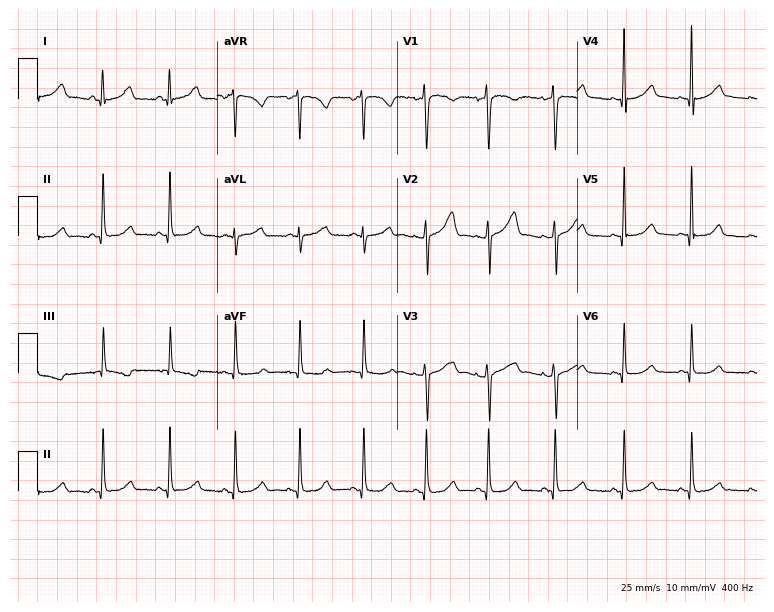
12-lead ECG from a 46-year-old female patient (7.3-second recording at 400 Hz). Recorded interpretation: within normal limits.